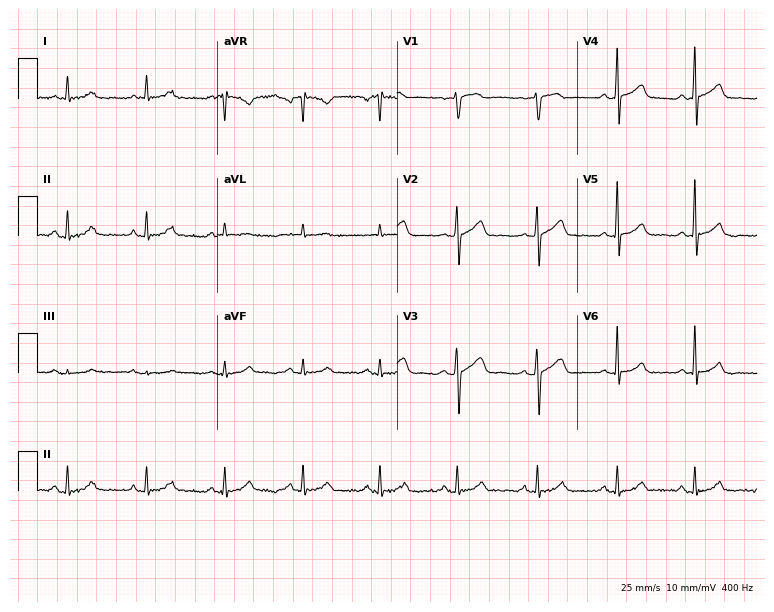
ECG (7.3-second recording at 400 Hz) — a 59-year-old man. Screened for six findings — first-degree AV block, right bundle branch block (RBBB), left bundle branch block (LBBB), sinus bradycardia, atrial fibrillation (AF), sinus tachycardia — none is recorded. Only these six findings were labelled.